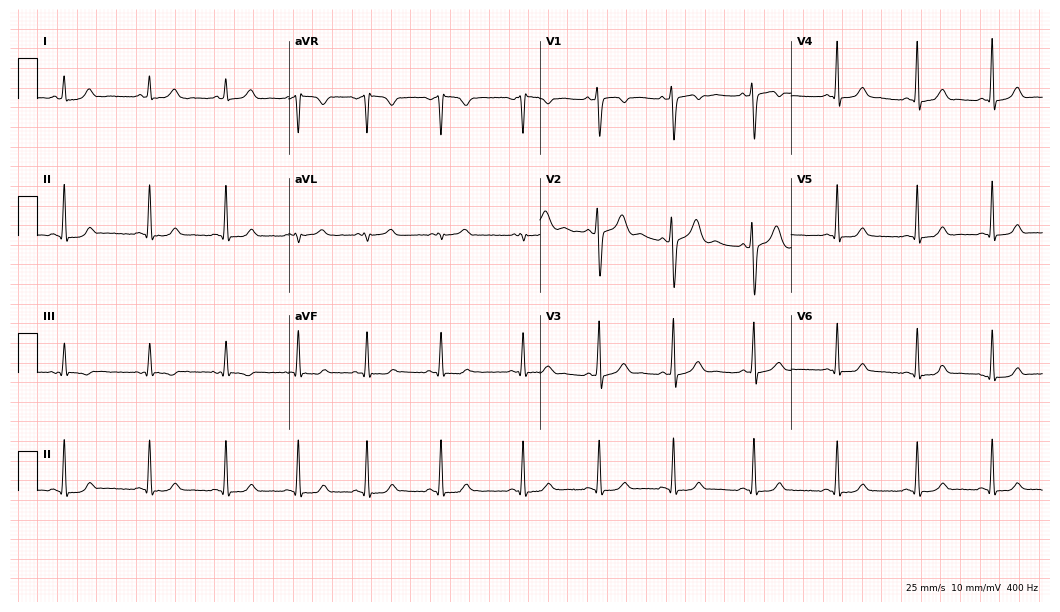
Resting 12-lead electrocardiogram (10.2-second recording at 400 Hz). Patient: a female, 27 years old. Read as a normal ECG.